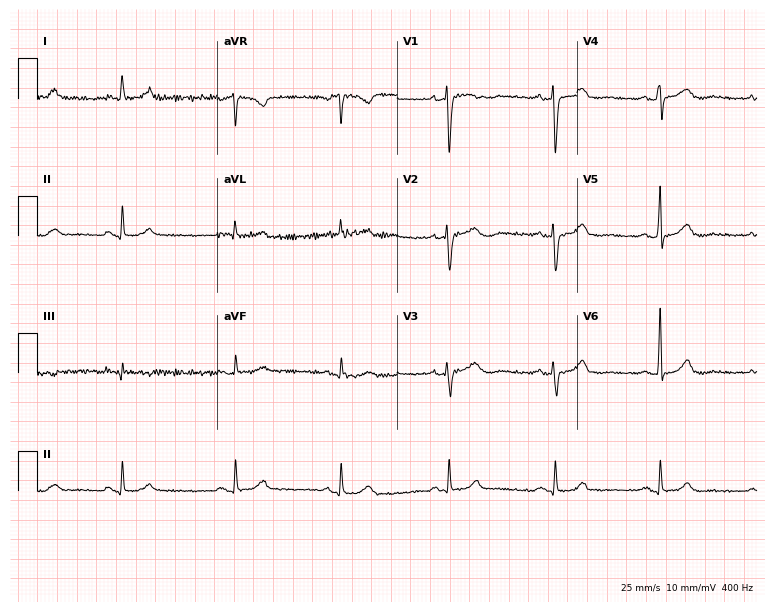
12-lead ECG (7.3-second recording at 400 Hz) from a 43-year-old woman. Labelled as a normal ECG.